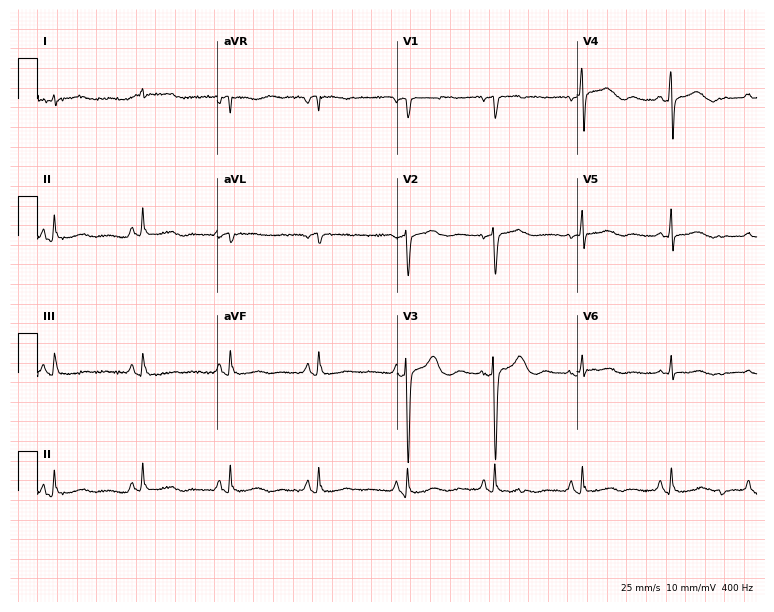
Resting 12-lead electrocardiogram (7.3-second recording at 400 Hz). Patient: an 81-year-old male. None of these six findings is recorded: first-degree AV block, right bundle branch block (RBBB), left bundle branch block (LBBB), sinus bradycardia, atrial fibrillation (AF), sinus tachycardia. Only these six findings were labelled.